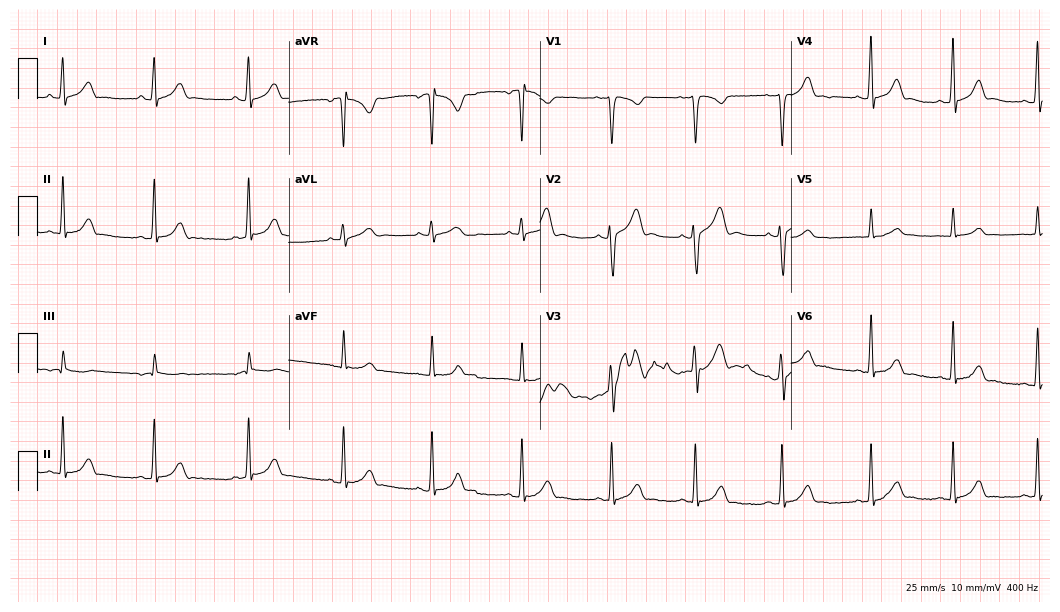
ECG — a female patient, 19 years old. Screened for six findings — first-degree AV block, right bundle branch block (RBBB), left bundle branch block (LBBB), sinus bradycardia, atrial fibrillation (AF), sinus tachycardia — none is recorded.